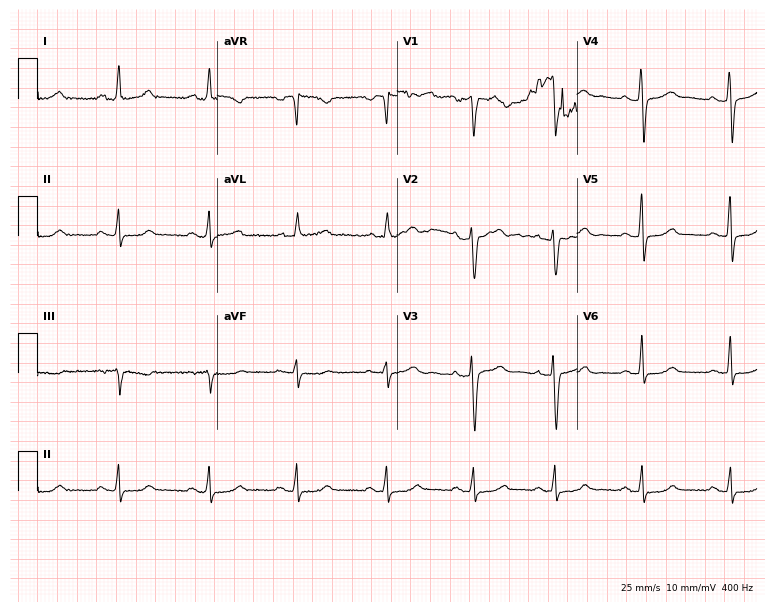
12-lead ECG from a 39-year-old female patient (7.3-second recording at 400 Hz). Recorded interpretation: within normal limits.